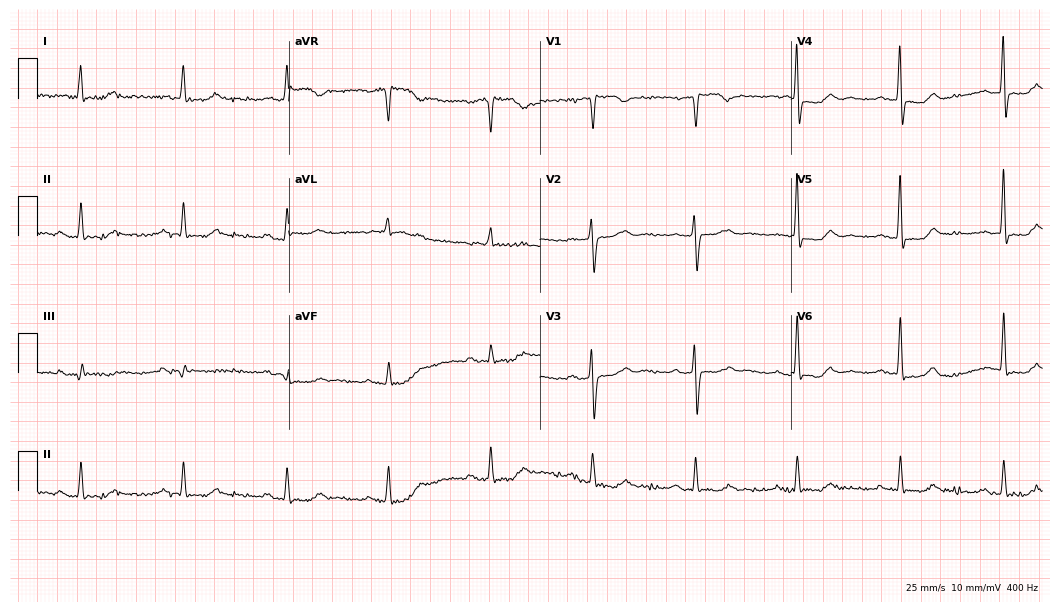
Standard 12-lead ECG recorded from a 68-year-old female patient (10.2-second recording at 400 Hz). The tracing shows first-degree AV block.